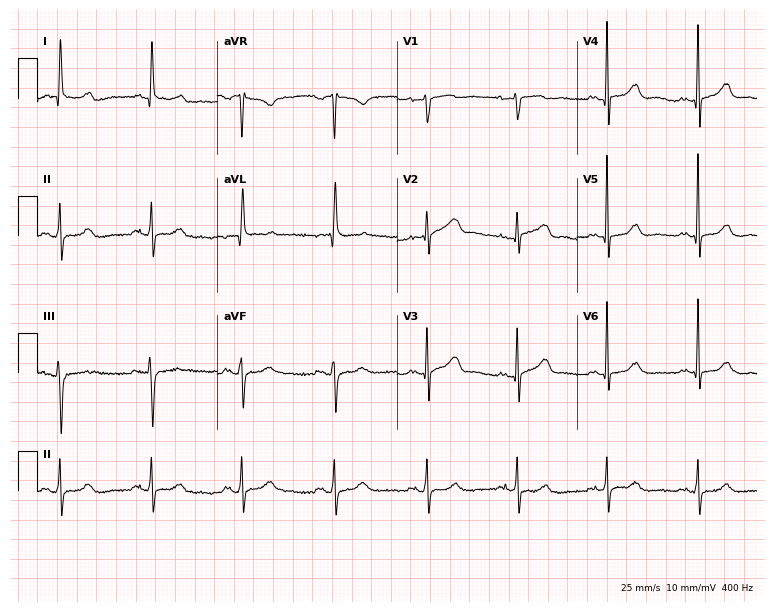
Resting 12-lead electrocardiogram. Patient: a 79-year-old female. Read as a normal ECG.